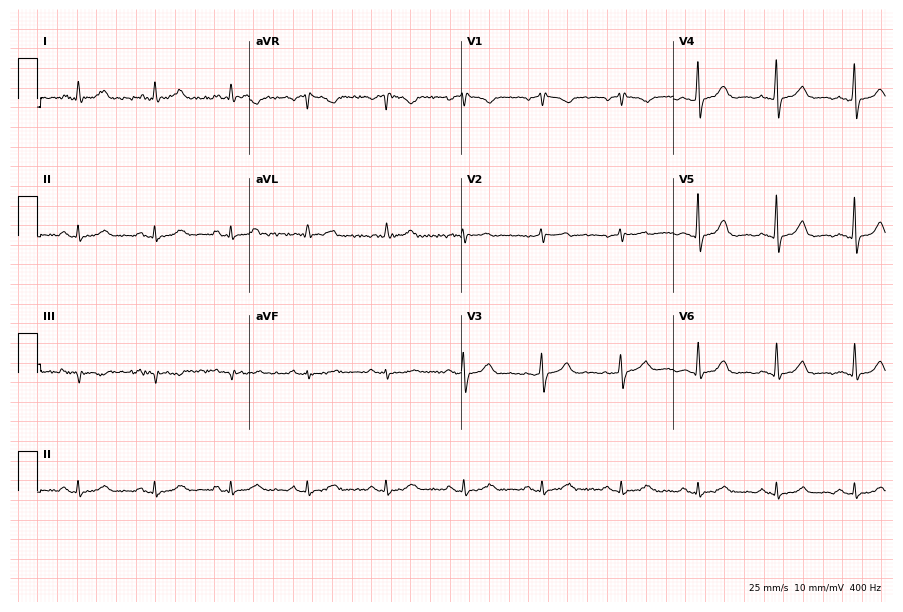
Resting 12-lead electrocardiogram. Patient: a 62-year-old male. Read as a normal ECG.